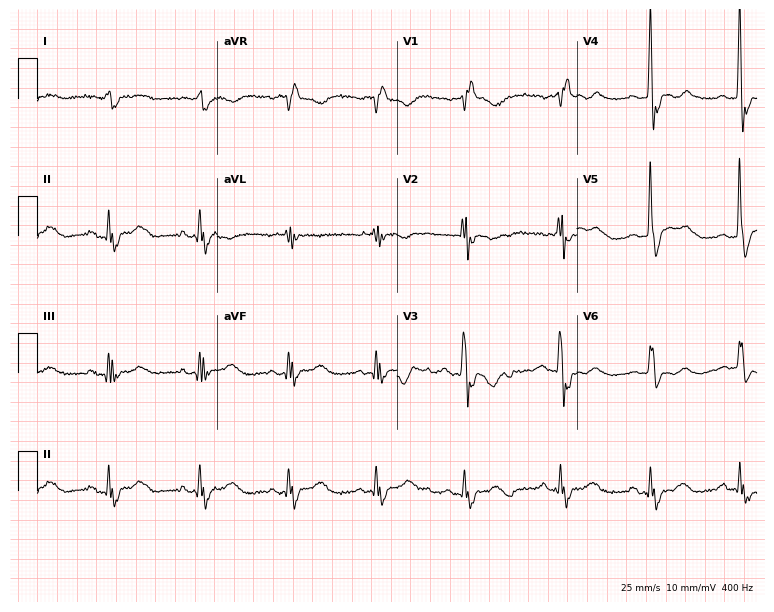
12-lead ECG from a 77-year-old male patient. Shows right bundle branch block.